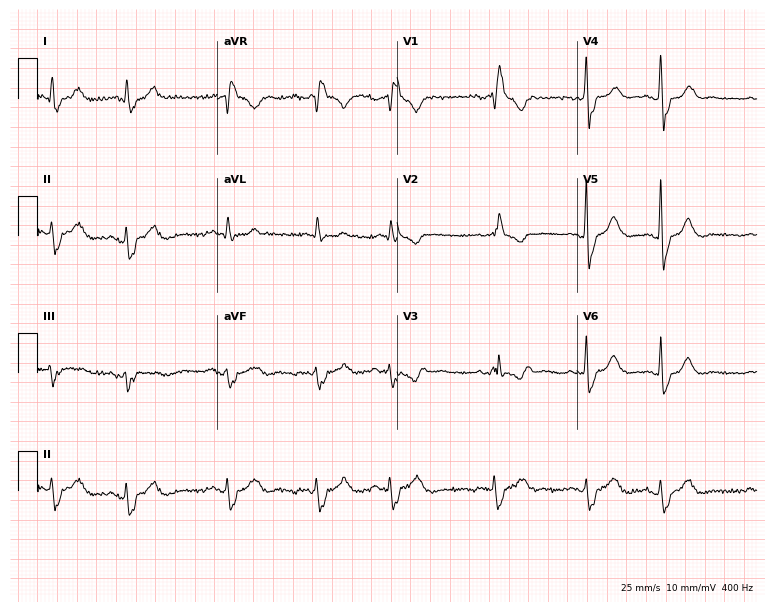
Electrocardiogram (7.3-second recording at 400 Hz), a female, 53 years old. Interpretation includes right bundle branch block.